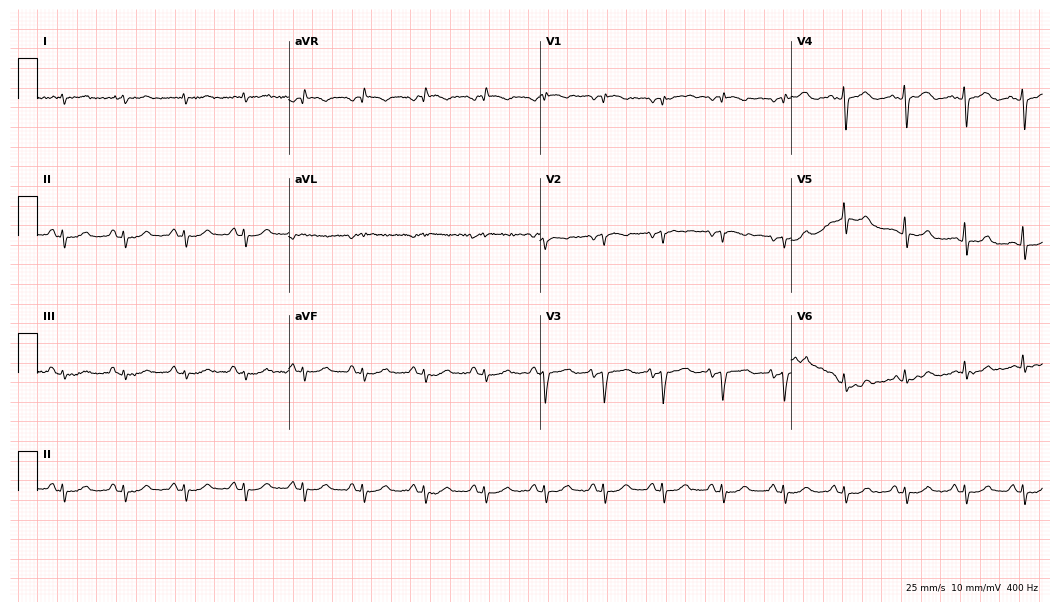
ECG (10.2-second recording at 400 Hz) — a man, 72 years old. Screened for six findings — first-degree AV block, right bundle branch block (RBBB), left bundle branch block (LBBB), sinus bradycardia, atrial fibrillation (AF), sinus tachycardia — none is recorded.